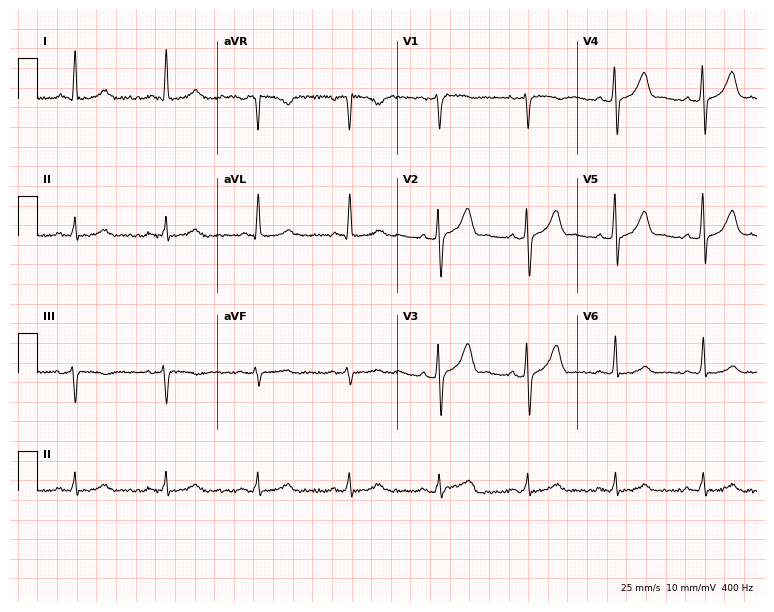
ECG (7.3-second recording at 400 Hz) — a male, 68 years old. Screened for six findings — first-degree AV block, right bundle branch block, left bundle branch block, sinus bradycardia, atrial fibrillation, sinus tachycardia — none is recorded. Findings outside these six are not listed.